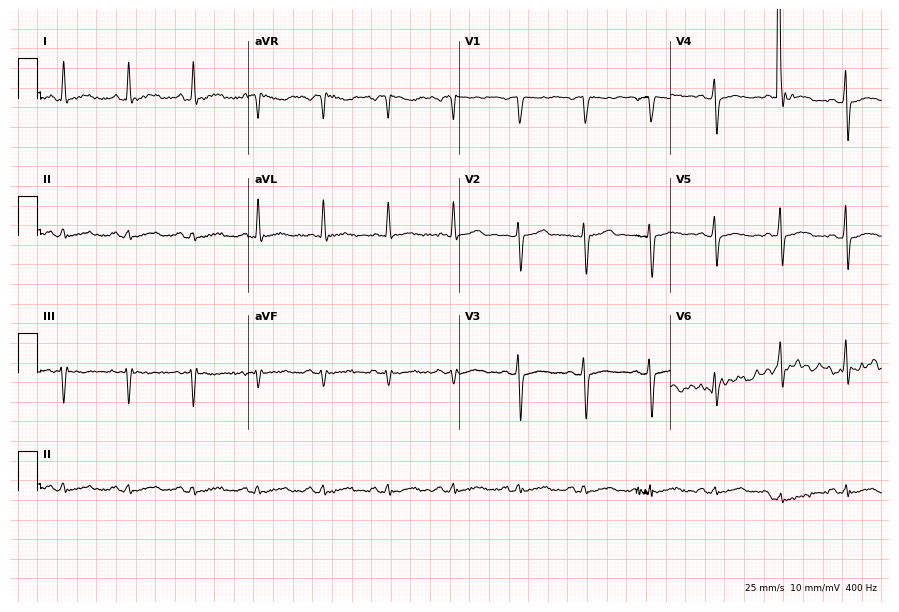
ECG (8.6-second recording at 400 Hz) — a female patient, 50 years old. Screened for six findings — first-degree AV block, right bundle branch block, left bundle branch block, sinus bradycardia, atrial fibrillation, sinus tachycardia — none is recorded.